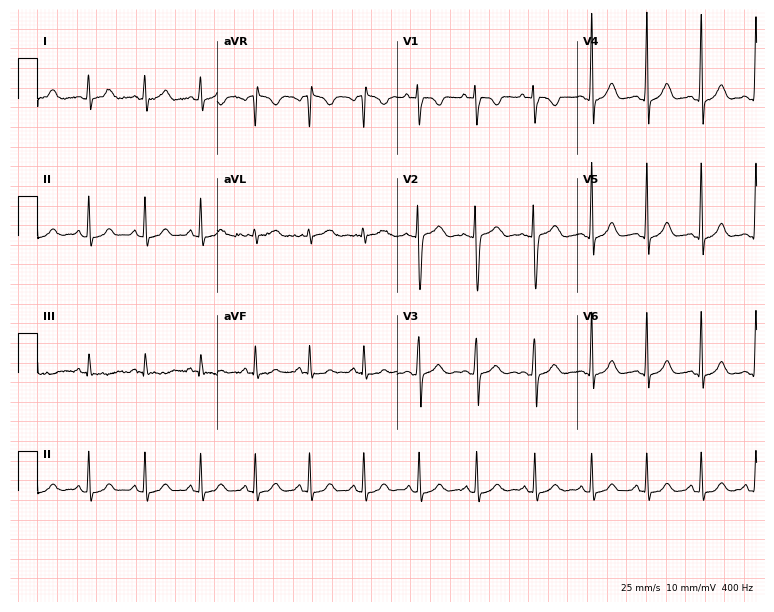
Standard 12-lead ECG recorded from a woman, 19 years old (7.3-second recording at 400 Hz). The tracing shows sinus tachycardia (a sinus rate of 100 beats per minute or more).